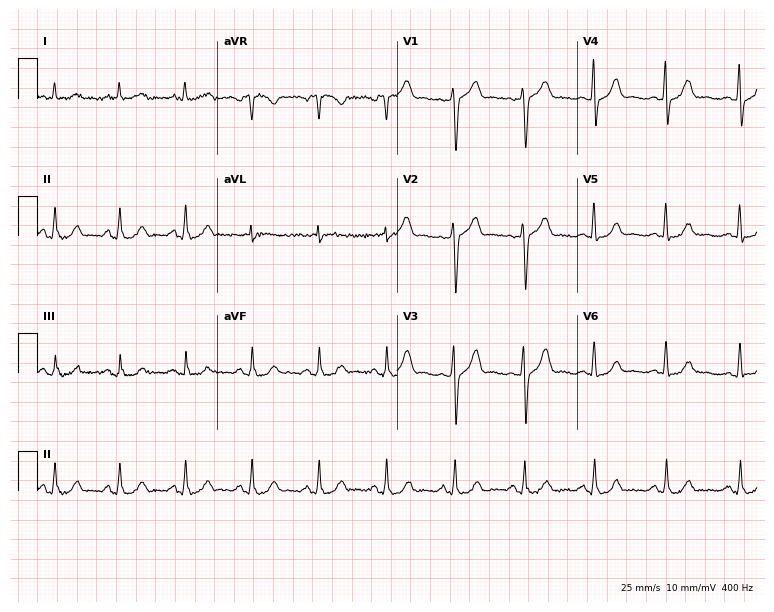
Resting 12-lead electrocardiogram (7.3-second recording at 400 Hz). Patient: a 71-year-old female. None of these six findings is recorded: first-degree AV block, right bundle branch block, left bundle branch block, sinus bradycardia, atrial fibrillation, sinus tachycardia.